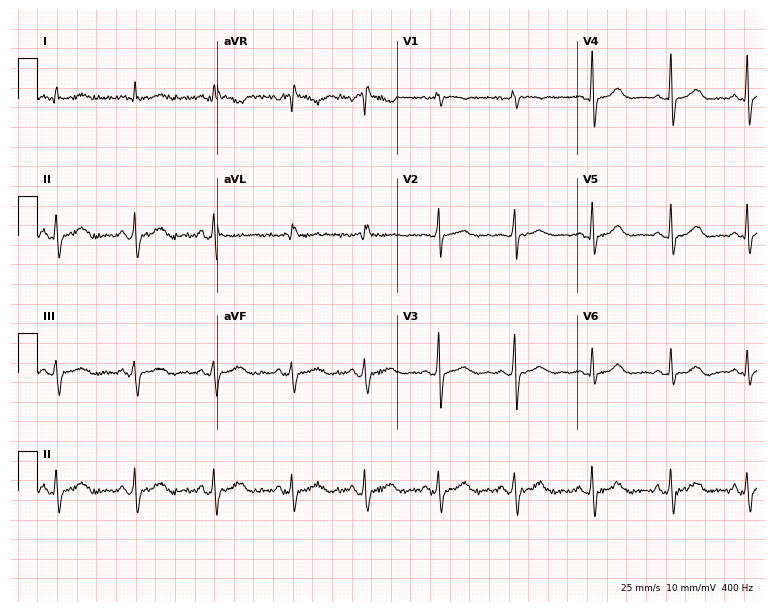
Standard 12-lead ECG recorded from a woman, 59 years old (7.3-second recording at 400 Hz). None of these six findings is recorded: first-degree AV block, right bundle branch block, left bundle branch block, sinus bradycardia, atrial fibrillation, sinus tachycardia.